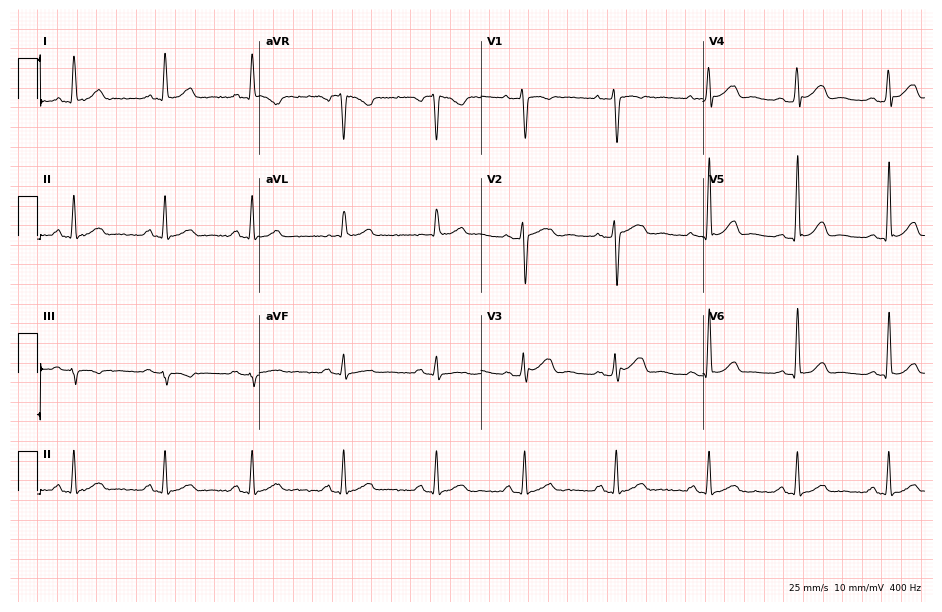
12-lead ECG from a male patient, 23 years old (9-second recording at 400 Hz). No first-degree AV block, right bundle branch block (RBBB), left bundle branch block (LBBB), sinus bradycardia, atrial fibrillation (AF) or sinus tachycardia recorded for this tracing. Findings outside these six are not listed.